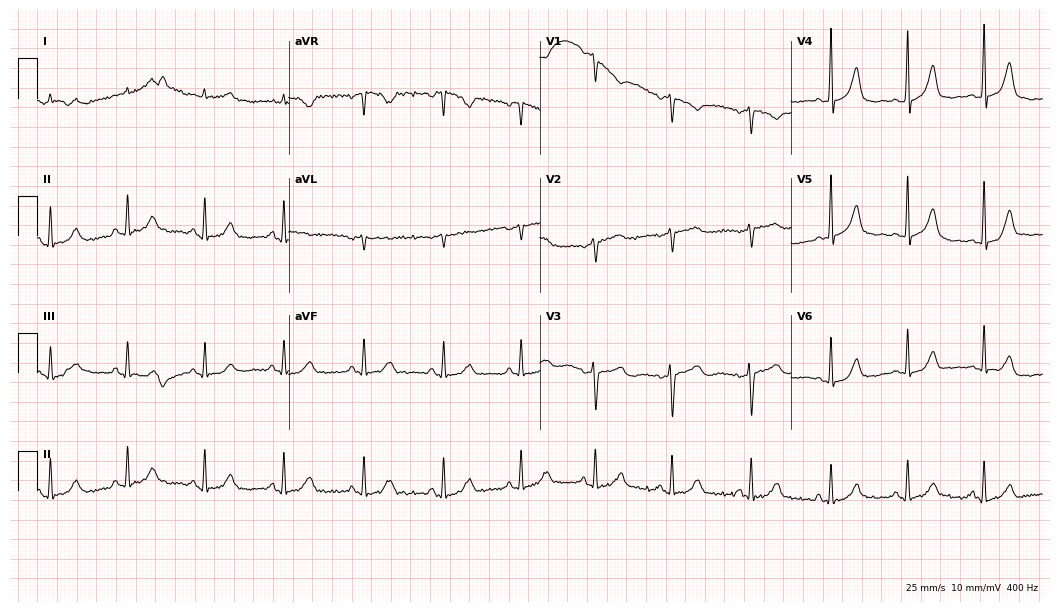
12-lead ECG from a female, 76 years old. Screened for six findings — first-degree AV block, right bundle branch block, left bundle branch block, sinus bradycardia, atrial fibrillation, sinus tachycardia — none is recorded. Other findings, if any, are not listed.